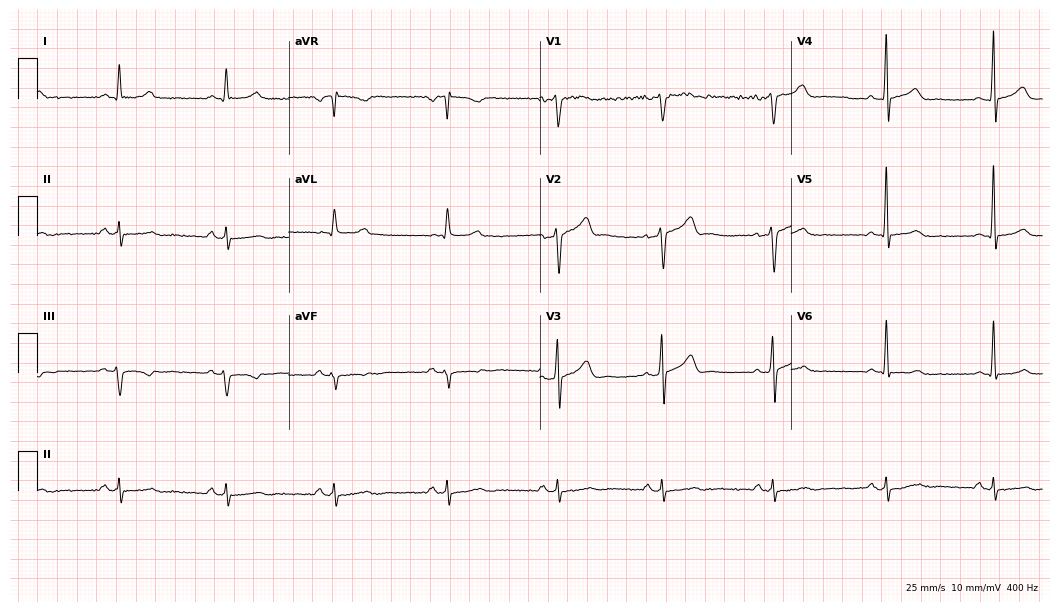
12-lead ECG from a 55-year-old man (10.2-second recording at 400 Hz). No first-degree AV block, right bundle branch block, left bundle branch block, sinus bradycardia, atrial fibrillation or sinus tachycardia recorded for this tracing. Only these six findings were labelled.